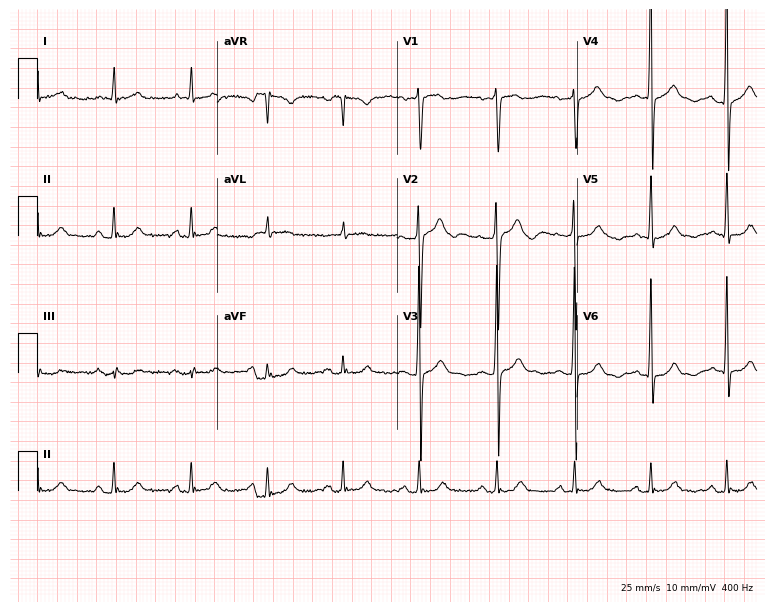
Standard 12-lead ECG recorded from a 58-year-old male patient (7.3-second recording at 400 Hz). Read as a normal ECG.